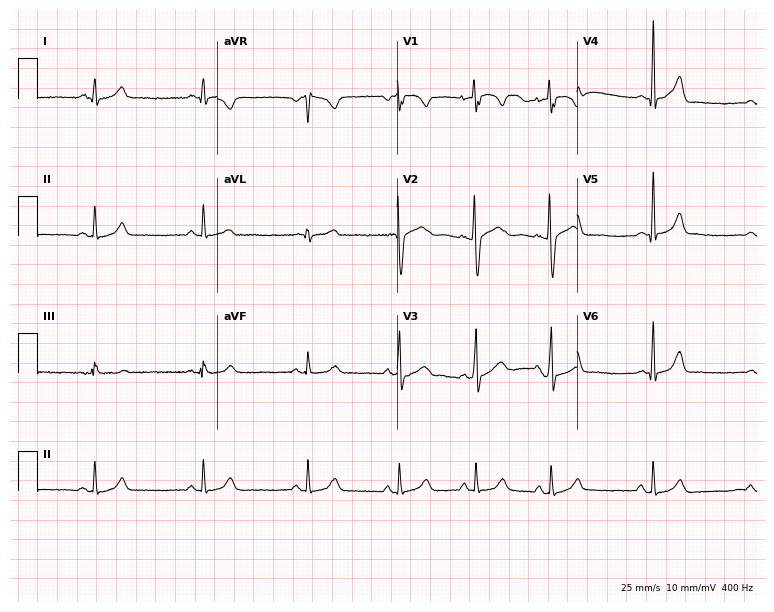
Standard 12-lead ECG recorded from a woman, 23 years old (7.3-second recording at 400 Hz). Read as a normal ECG.